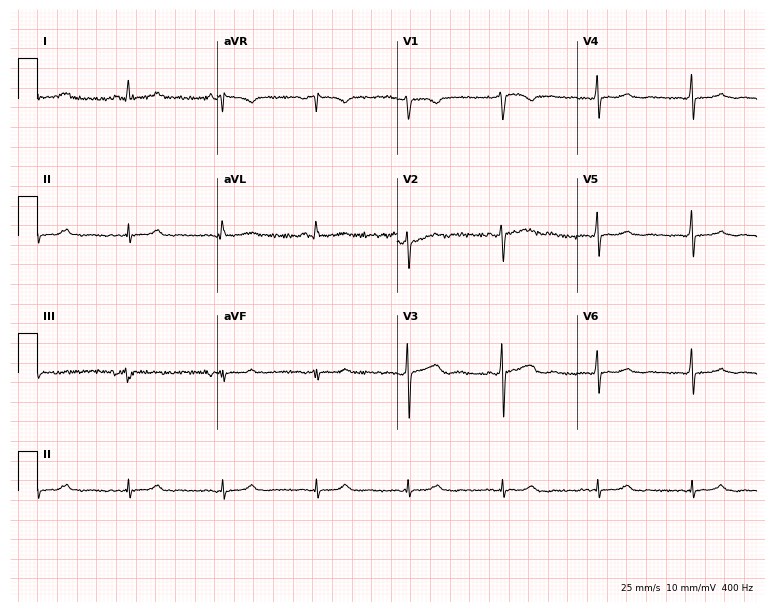
Electrocardiogram, a 58-year-old female. Of the six screened findings (first-degree AV block, right bundle branch block (RBBB), left bundle branch block (LBBB), sinus bradycardia, atrial fibrillation (AF), sinus tachycardia), none is recorded. Other findings, if any, are not listed.